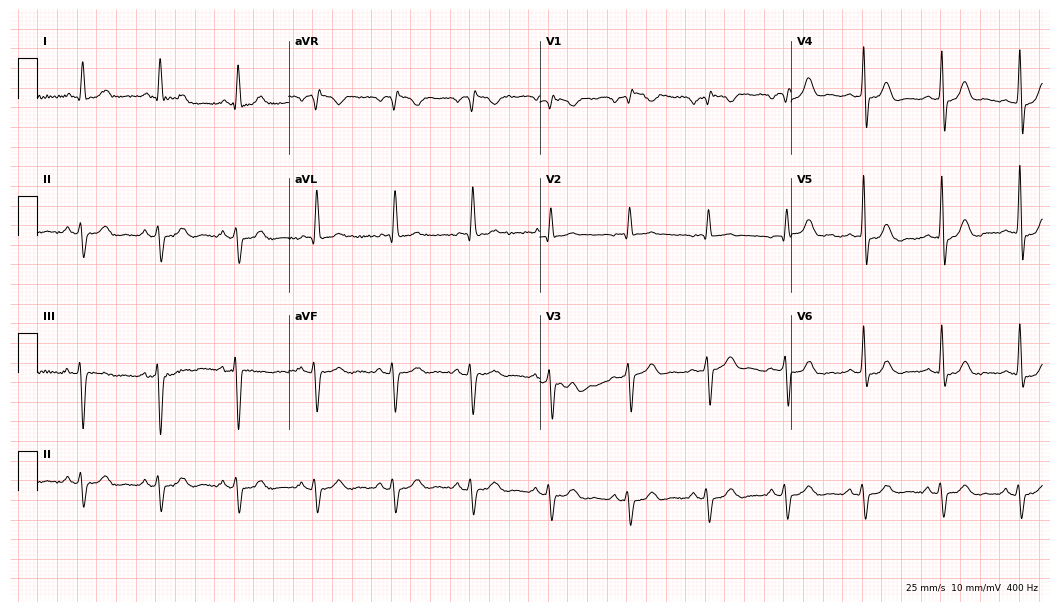
12-lead ECG from an 83-year-old male. No first-degree AV block, right bundle branch block (RBBB), left bundle branch block (LBBB), sinus bradycardia, atrial fibrillation (AF) or sinus tachycardia recorded for this tracing. Other findings, if any, are not listed.